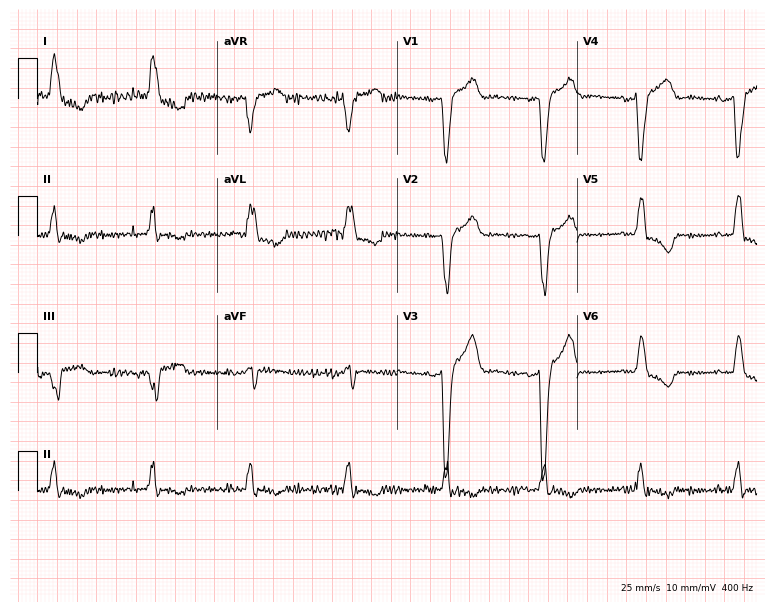
12-lead ECG from an 80-year-old female patient. No first-degree AV block, right bundle branch block, left bundle branch block, sinus bradycardia, atrial fibrillation or sinus tachycardia recorded for this tracing.